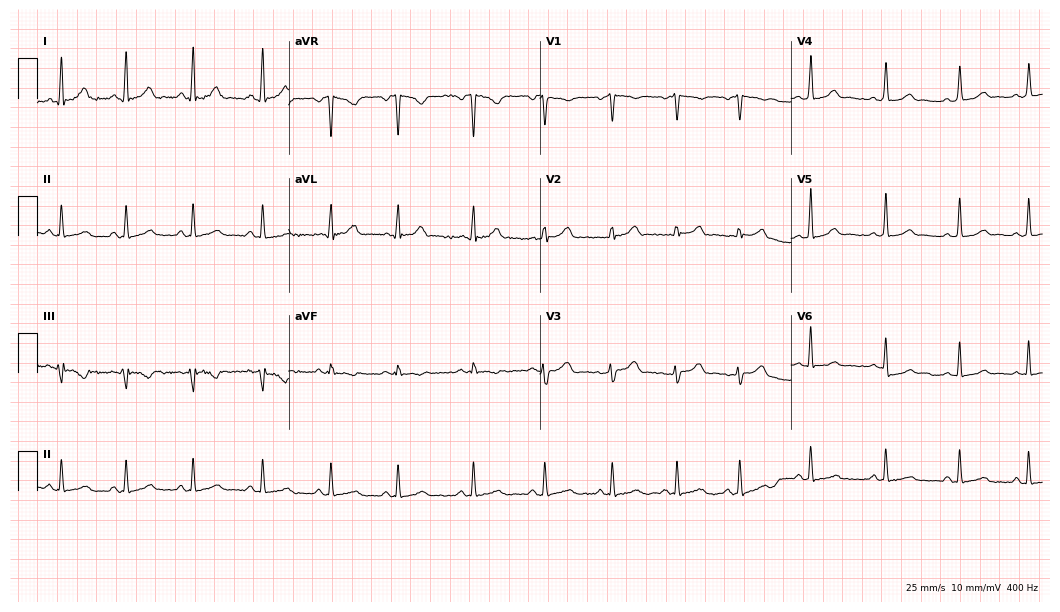
12-lead ECG from a 19-year-old female (10.2-second recording at 400 Hz). Recorded interpretation: within normal limits.